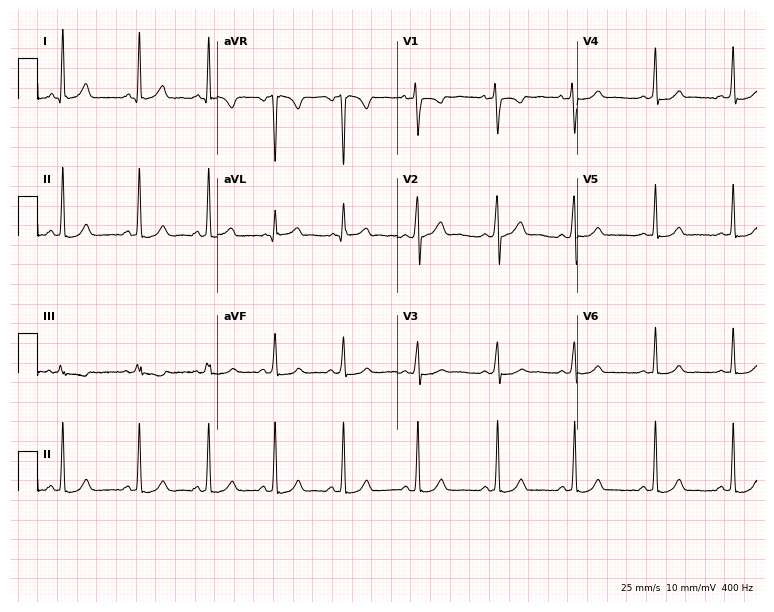
12-lead ECG from a 20-year-old woman (7.3-second recording at 400 Hz). Recorded interpretation: within normal limits.